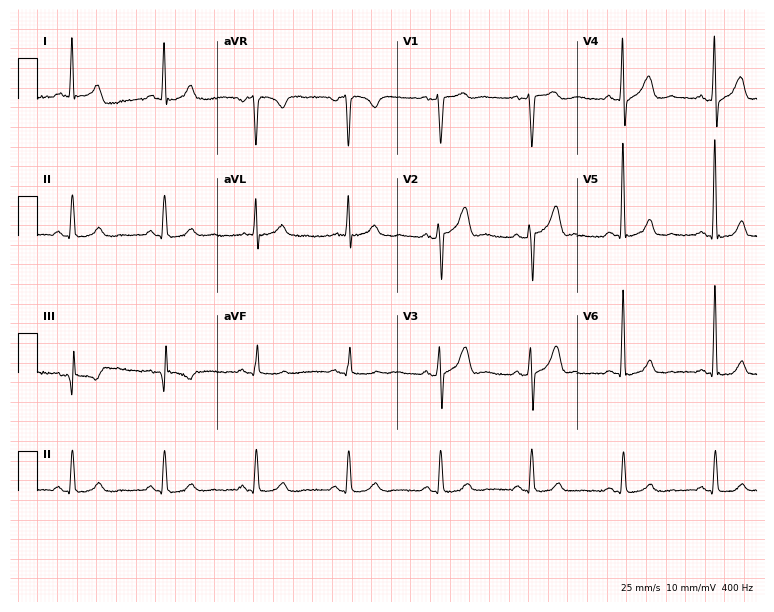
ECG (7.3-second recording at 400 Hz) — a 71-year-old male patient. Labelled as a normal ECG.